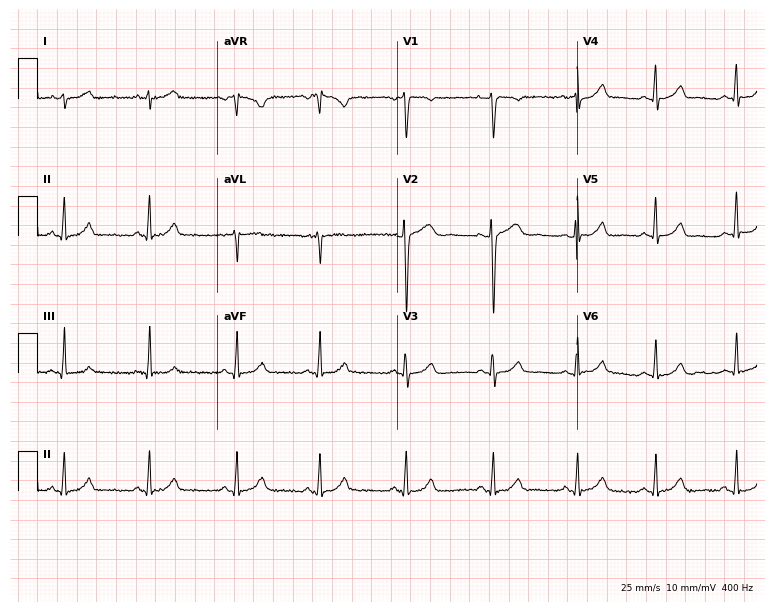
12-lead ECG from a woman, 27 years old. Screened for six findings — first-degree AV block, right bundle branch block (RBBB), left bundle branch block (LBBB), sinus bradycardia, atrial fibrillation (AF), sinus tachycardia — none is recorded. Only these six findings were labelled.